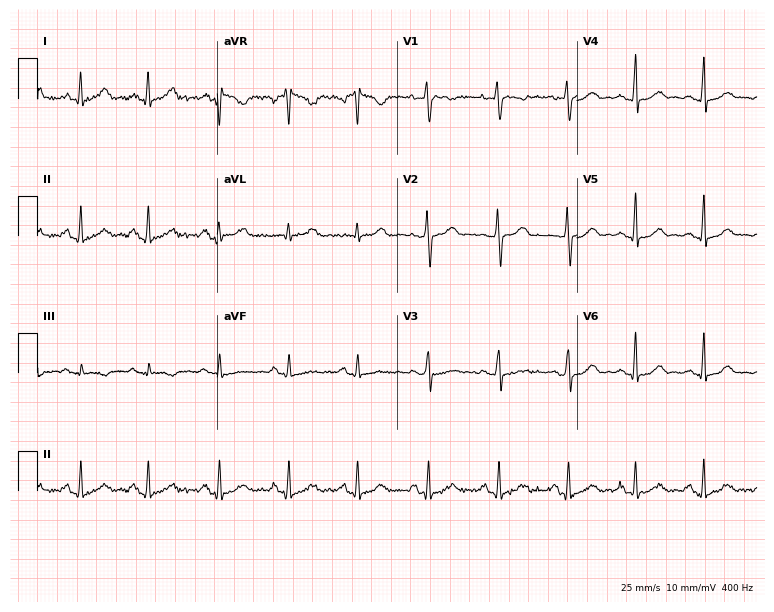
Standard 12-lead ECG recorded from a female patient, 33 years old (7.3-second recording at 400 Hz). Read as a normal ECG.